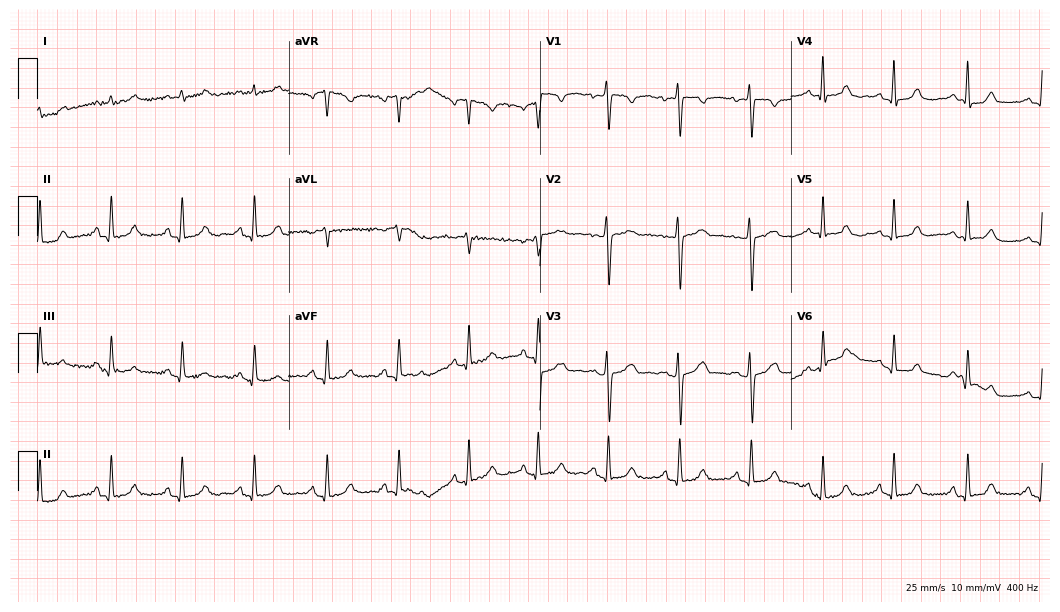
12-lead ECG from a female patient, 48 years old. Labelled as a normal ECG.